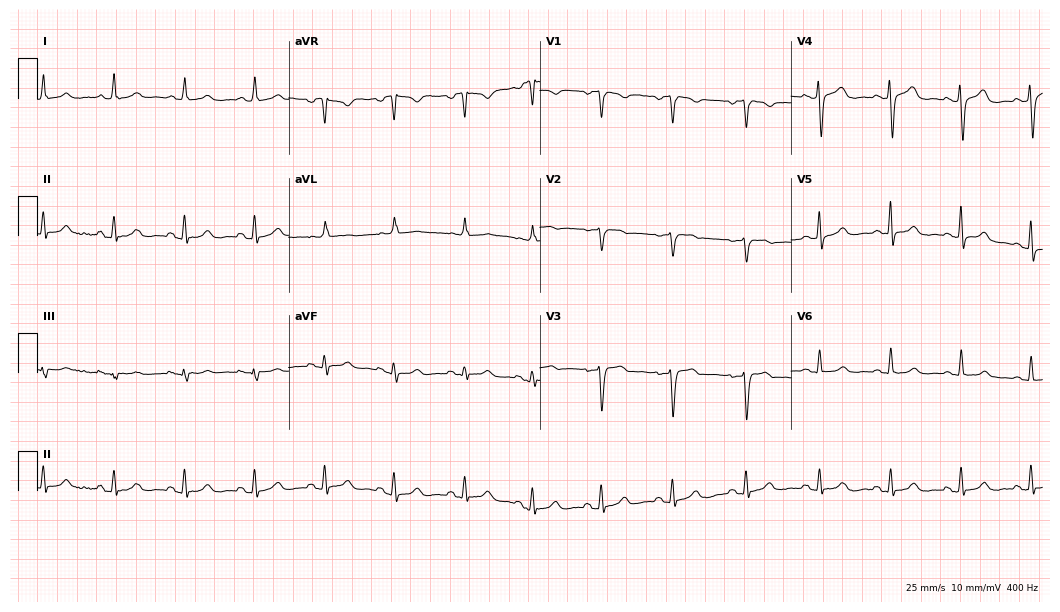
Resting 12-lead electrocardiogram. Patient: a female, 55 years old. Read as a normal ECG.